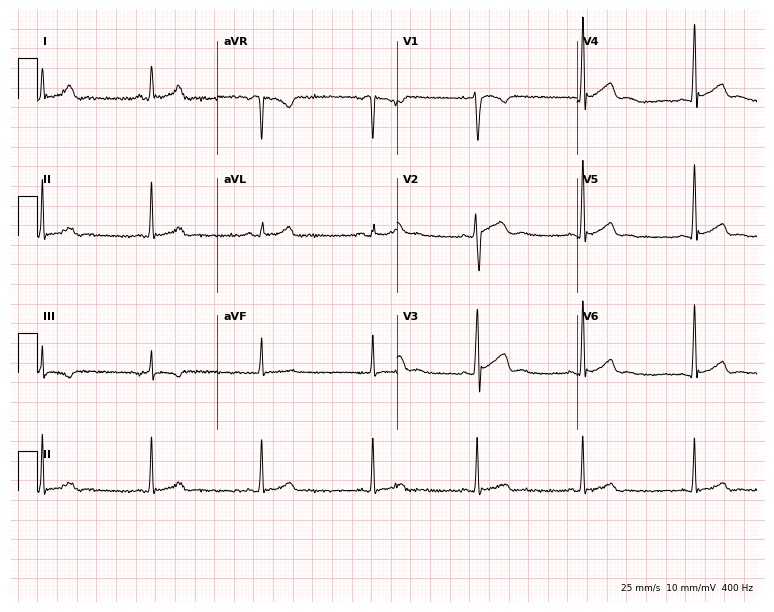
12-lead ECG from a man, 23 years old. Recorded interpretation: within normal limits.